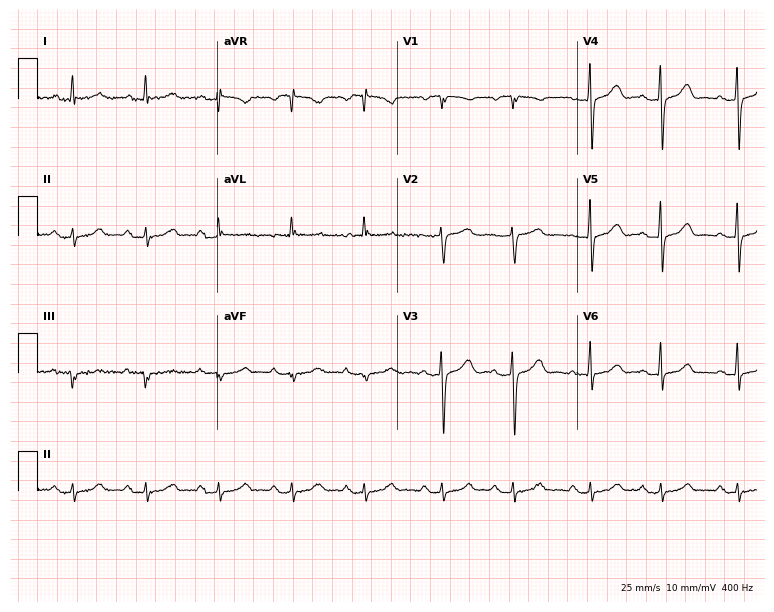
ECG — an 84-year-old female patient. Screened for six findings — first-degree AV block, right bundle branch block, left bundle branch block, sinus bradycardia, atrial fibrillation, sinus tachycardia — none is recorded. Findings outside these six are not listed.